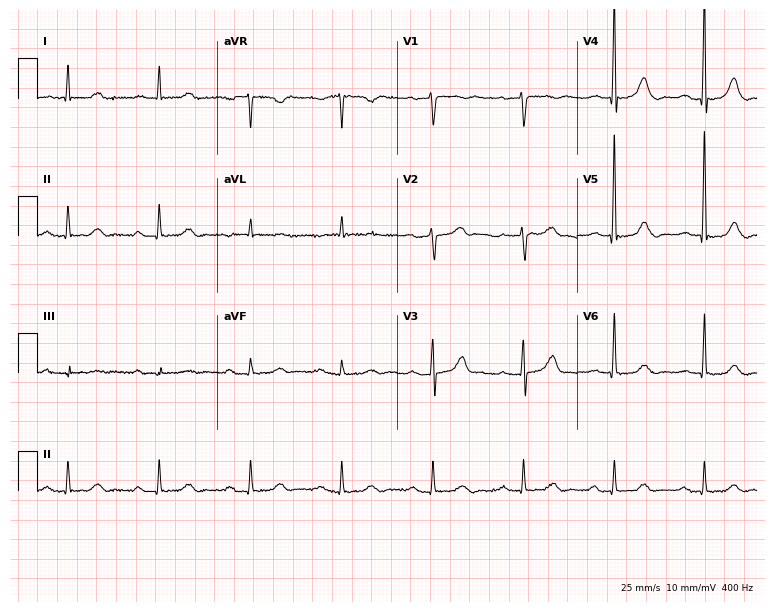
Standard 12-lead ECG recorded from a man, 77 years old (7.3-second recording at 400 Hz). The tracing shows first-degree AV block.